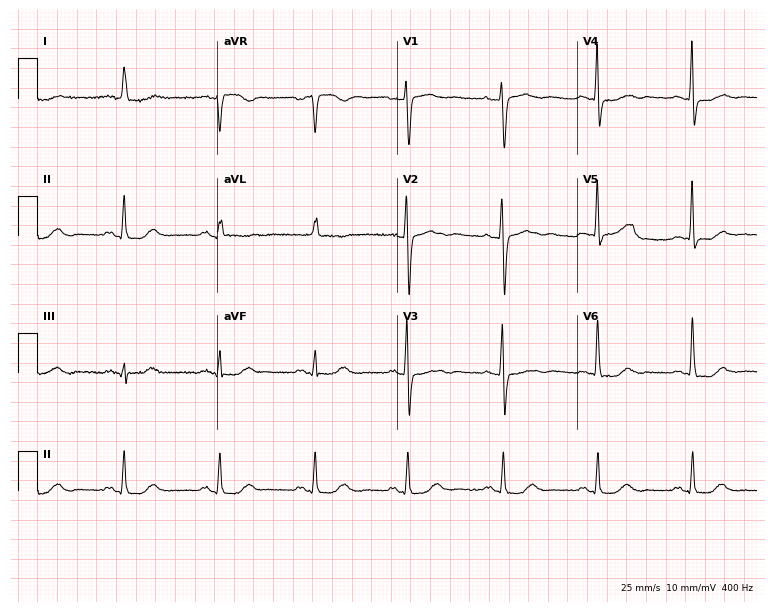
Resting 12-lead electrocardiogram (7.3-second recording at 400 Hz). Patient: a woman, 50 years old. None of these six findings is recorded: first-degree AV block, right bundle branch block, left bundle branch block, sinus bradycardia, atrial fibrillation, sinus tachycardia. Findings outside these six are not listed.